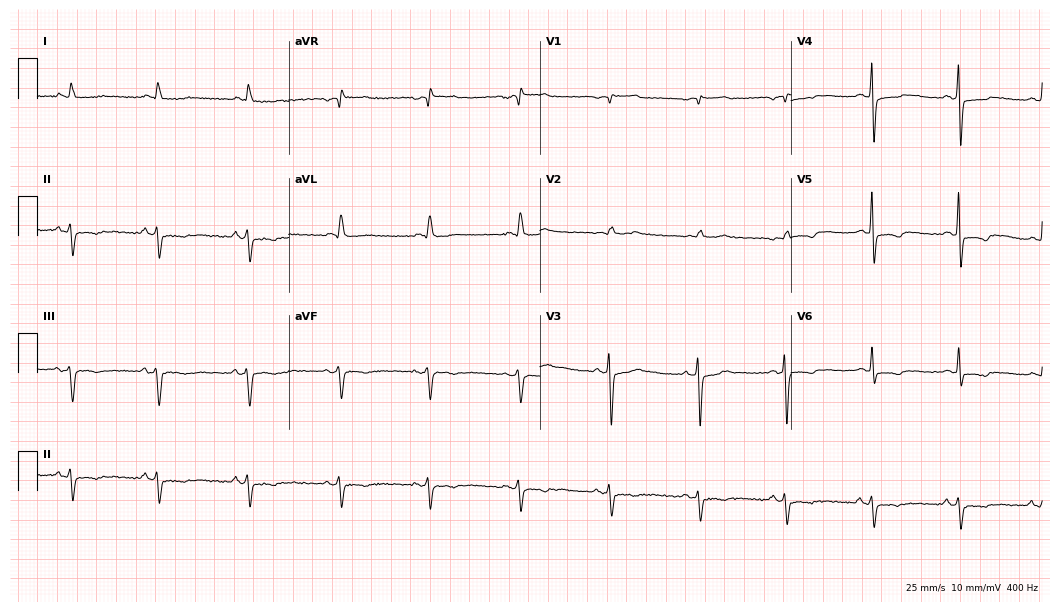
12-lead ECG from a male, 71 years old. No first-degree AV block, right bundle branch block (RBBB), left bundle branch block (LBBB), sinus bradycardia, atrial fibrillation (AF) or sinus tachycardia recorded for this tracing.